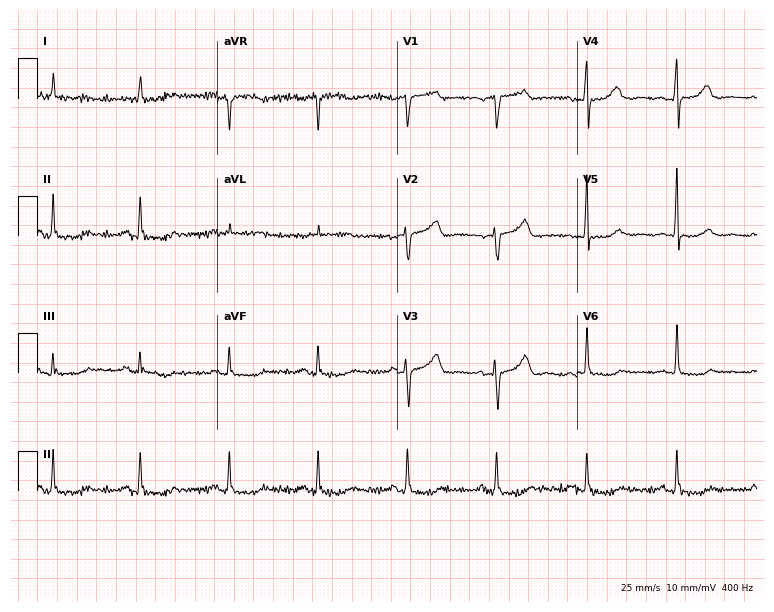
12-lead ECG from a female patient, 73 years old. No first-degree AV block, right bundle branch block, left bundle branch block, sinus bradycardia, atrial fibrillation or sinus tachycardia recorded for this tracing.